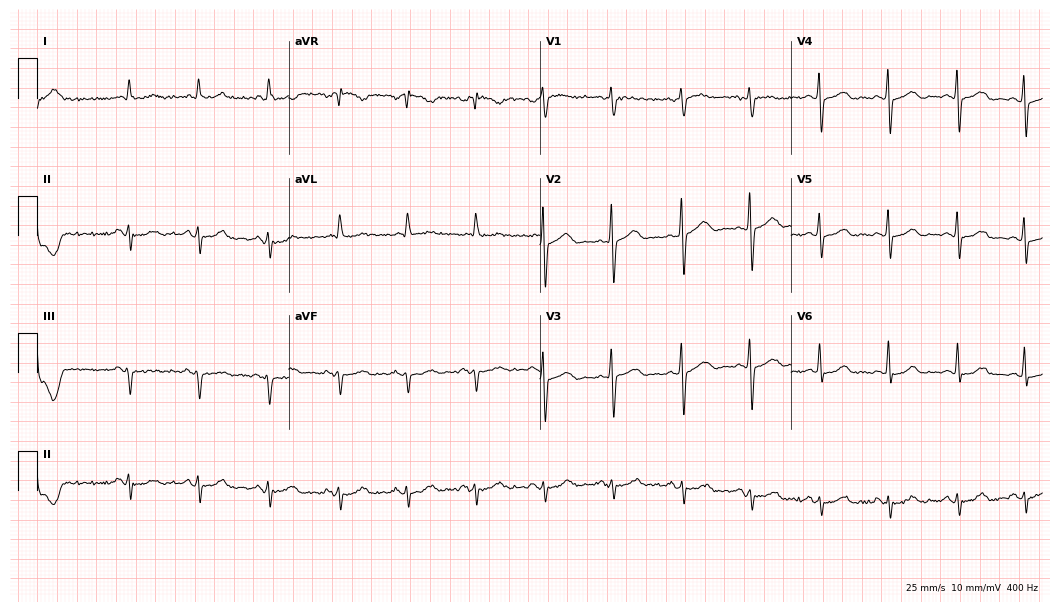
ECG — a man, 70 years old. Screened for six findings — first-degree AV block, right bundle branch block, left bundle branch block, sinus bradycardia, atrial fibrillation, sinus tachycardia — none is recorded. Findings outside these six are not listed.